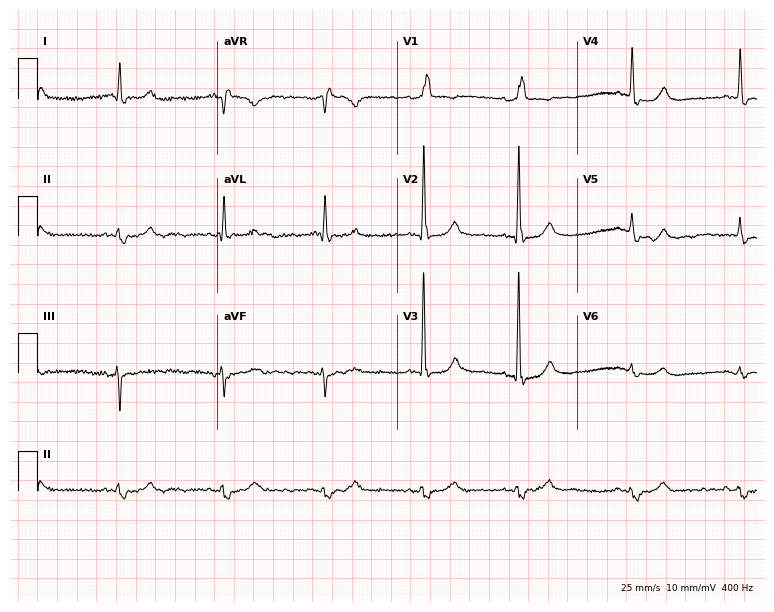
12-lead ECG (7.3-second recording at 400 Hz) from a 68-year-old man. Screened for six findings — first-degree AV block, right bundle branch block, left bundle branch block, sinus bradycardia, atrial fibrillation, sinus tachycardia — none is recorded. Other findings, if any, are not listed.